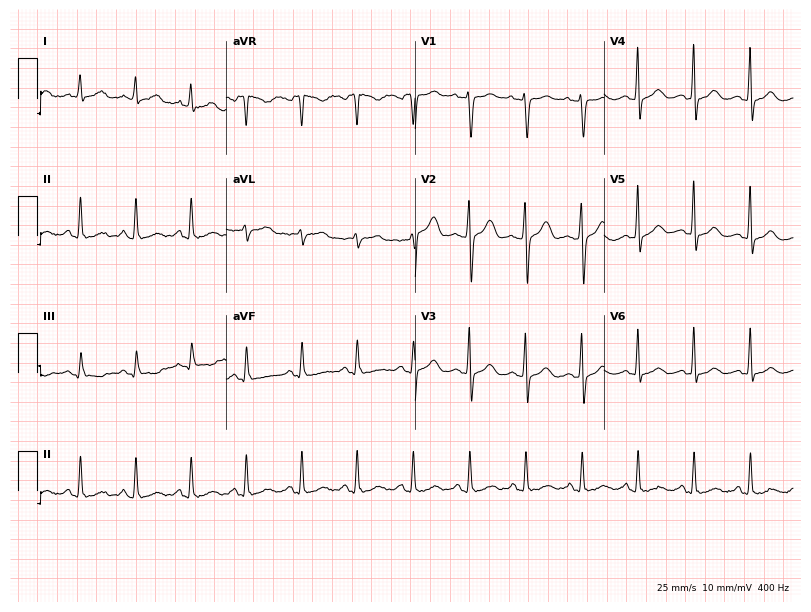
Electrocardiogram, a female, 43 years old. Interpretation includes sinus tachycardia (a sinus rate of 100 beats per minute or more).